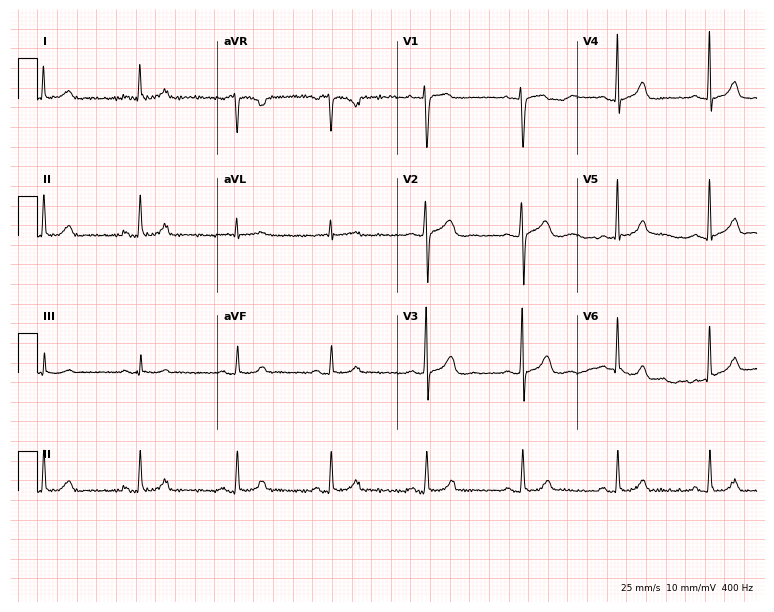
Resting 12-lead electrocardiogram. Patient: a 37-year-old woman. Read as a normal ECG.